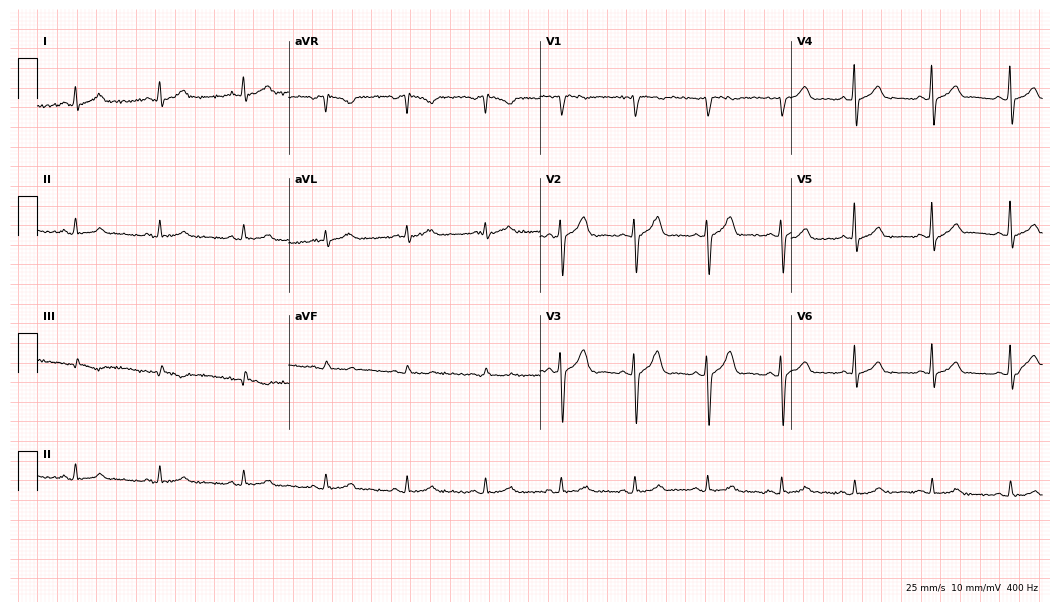
Electrocardiogram, a 48-year-old man. Overall reading on record: normal ECG.